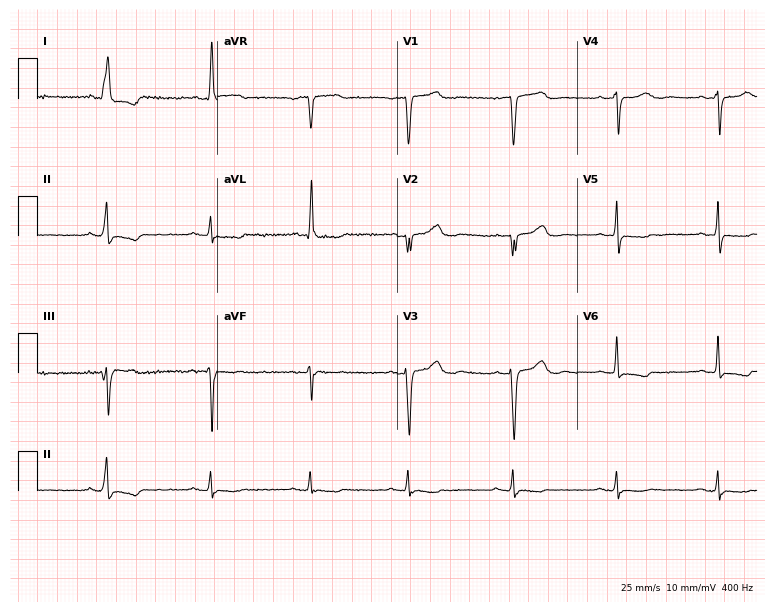
ECG (7.3-second recording at 400 Hz) — a female patient, 82 years old. Screened for six findings — first-degree AV block, right bundle branch block (RBBB), left bundle branch block (LBBB), sinus bradycardia, atrial fibrillation (AF), sinus tachycardia — none is recorded. Other findings, if any, are not listed.